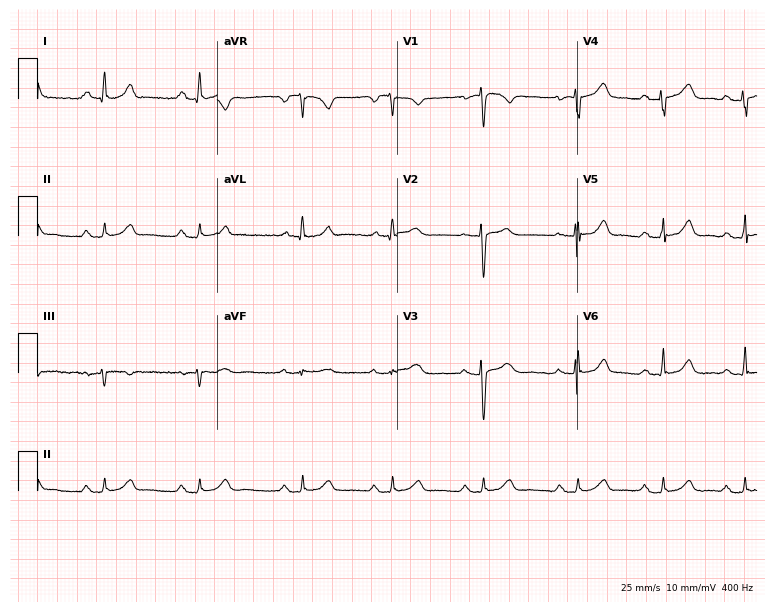
12-lead ECG from a 37-year-old female patient. Recorded interpretation: within normal limits.